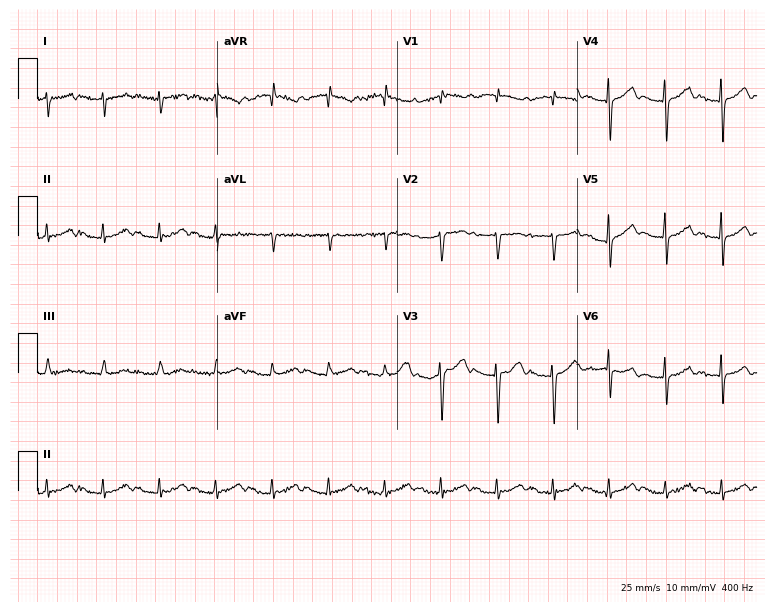
Resting 12-lead electrocardiogram. Patient: a woman, 64 years old. The tracing shows first-degree AV block.